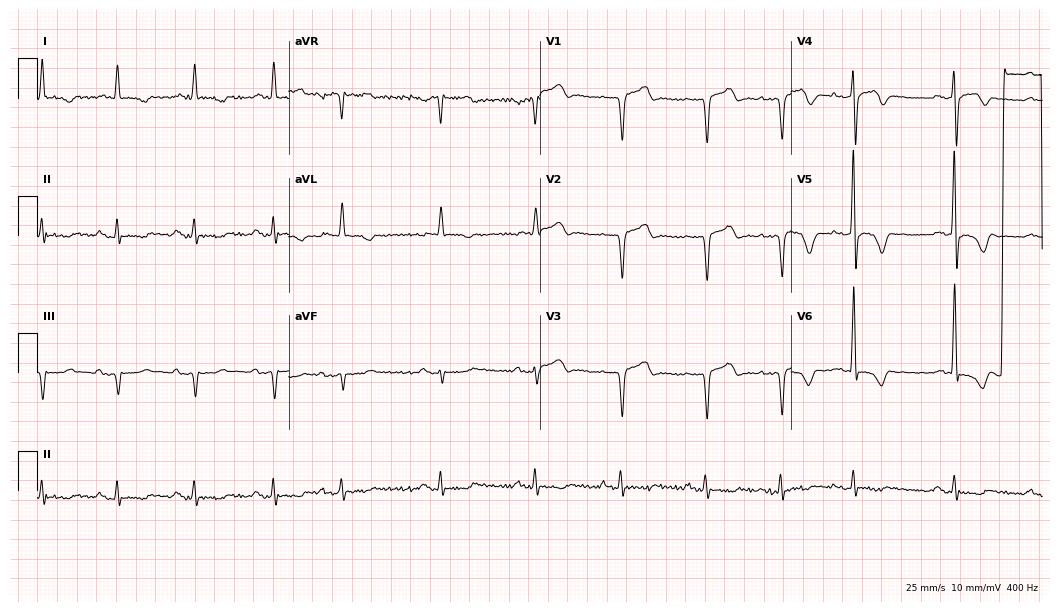
12-lead ECG from a male, 72 years old. Screened for six findings — first-degree AV block, right bundle branch block, left bundle branch block, sinus bradycardia, atrial fibrillation, sinus tachycardia — none is recorded.